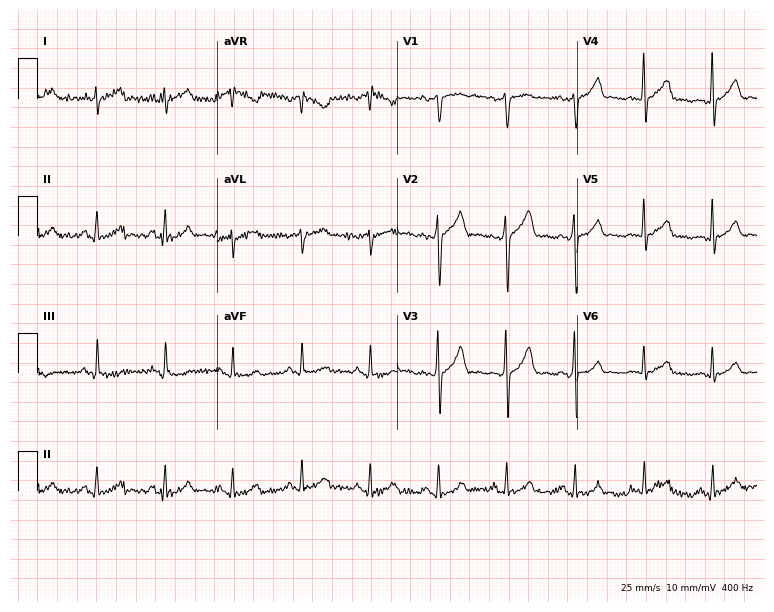
Resting 12-lead electrocardiogram. Patient: a man, 57 years old. Read as a normal ECG.